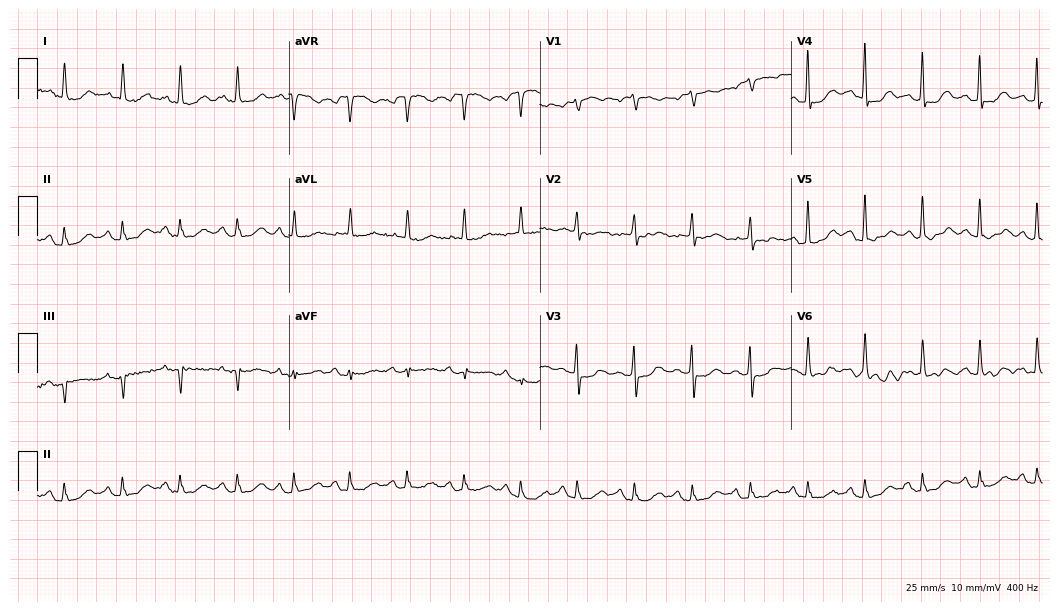
ECG (10.2-second recording at 400 Hz) — a female, 84 years old. Findings include sinus tachycardia (a sinus rate of 100 beats per minute or more).